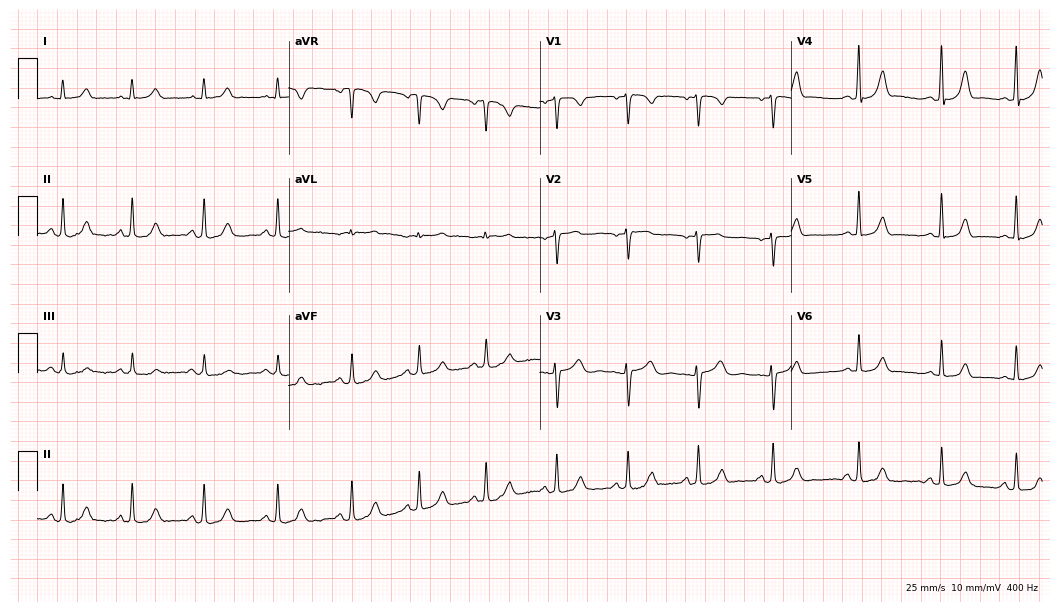
12-lead ECG from a female patient, 33 years old. Recorded interpretation: within normal limits.